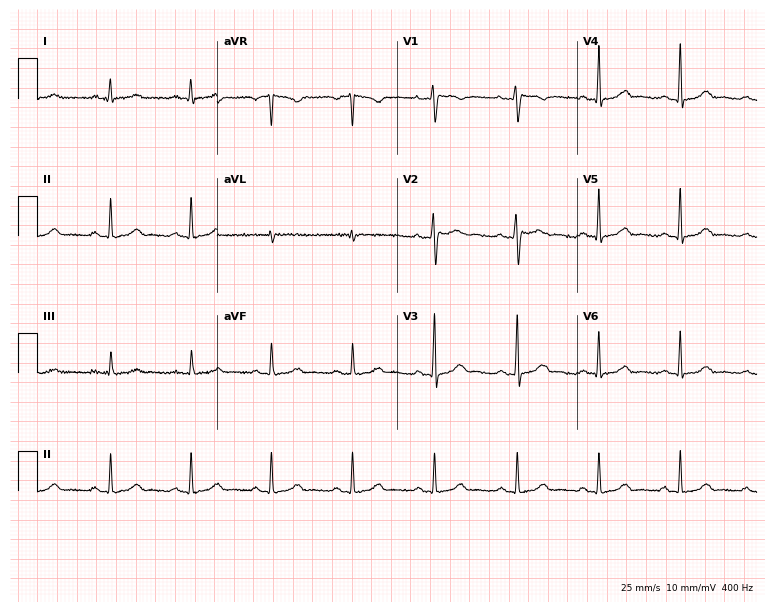
Standard 12-lead ECG recorded from a woman, 53 years old (7.3-second recording at 400 Hz). None of these six findings is recorded: first-degree AV block, right bundle branch block (RBBB), left bundle branch block (LBBB), sinus bradycardia, atrial fibrillation (AF), sinus tachycardia.